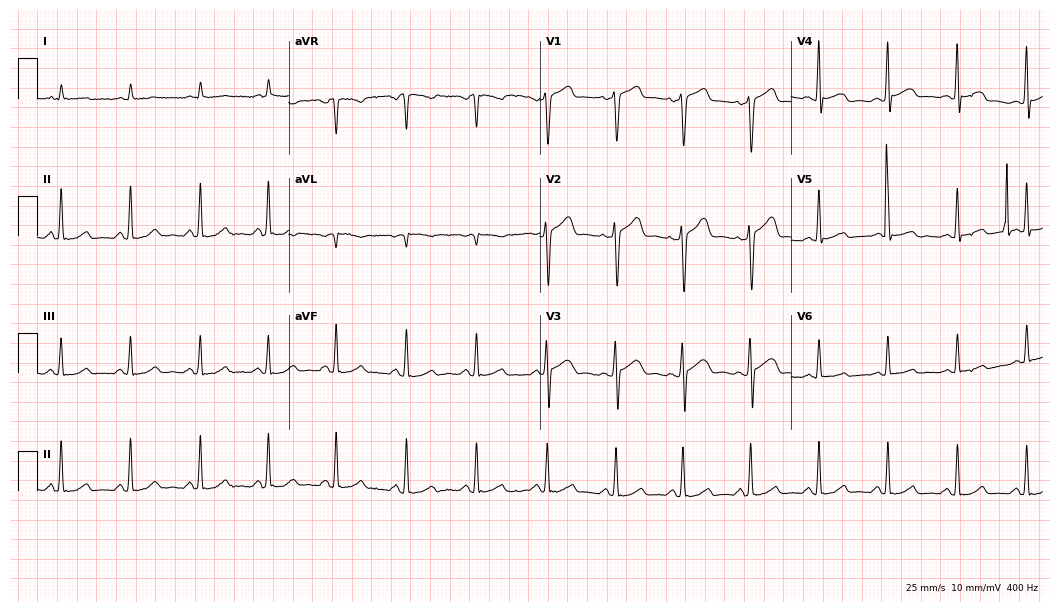
12-lead ECG from a male, 63 years old (10.2-second recording at 400 Hz). Recorded interpretation: within normal limits.